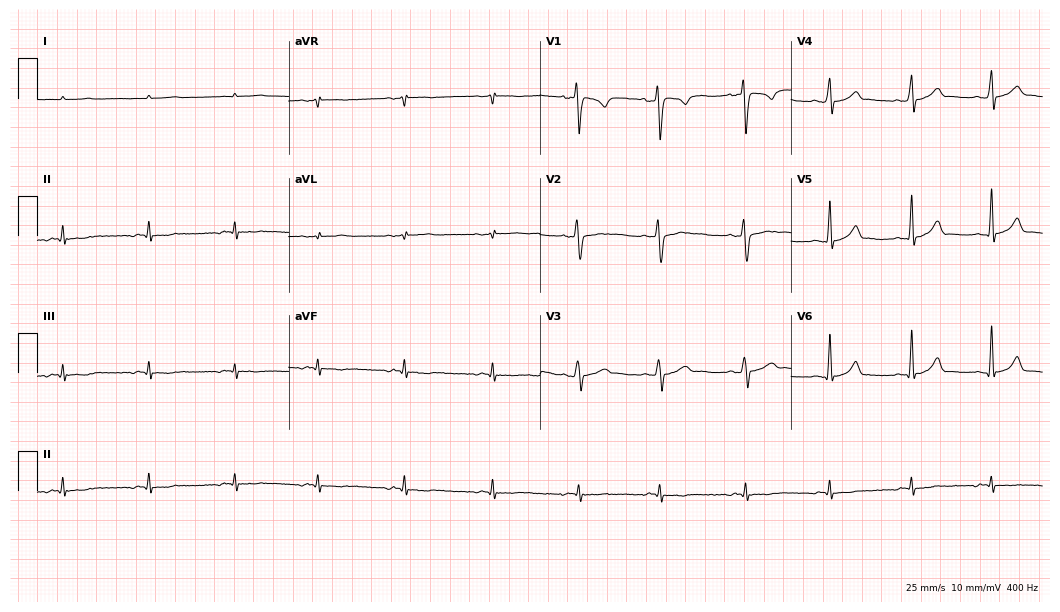
Standard 12-lead ECG recorded from a male, 35 years old (10.2-second recording at 400 Hz). None of these six findings is recorded: first-degree AV block, right bundle branch block (RBBB), left bundle branch block (LBBB), sinus bradycardia, atrial fibrillation (AF), sinus tachycardia.